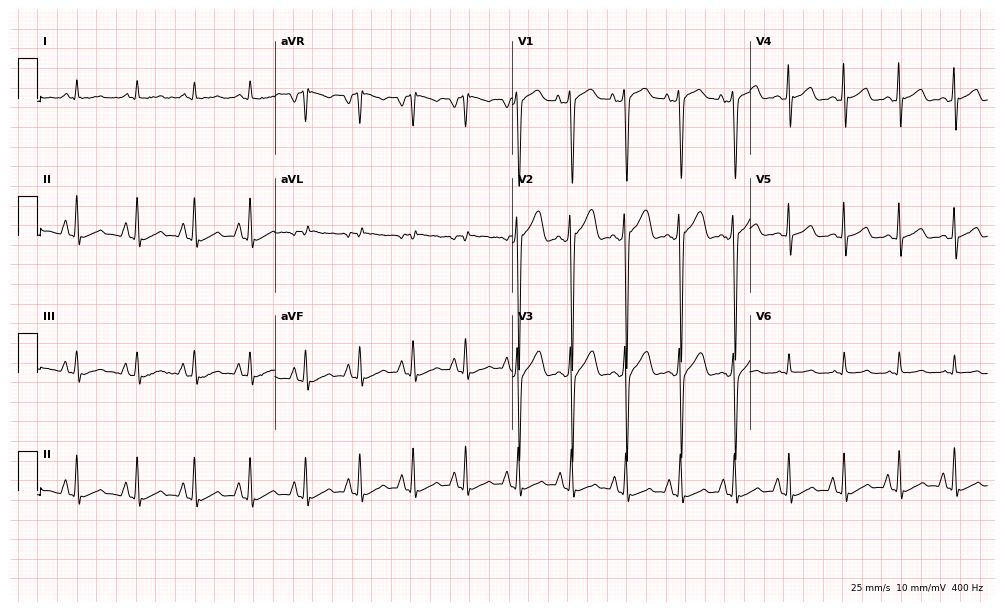
Standard 12-lead ECG recorded from a male patient, 45 years old (9.7-second recording at 400 Hz). None of these six findings is recorded: first-degree AV block, right bundle branch block (RBBB), left bundle branch block (LBBB), sinus bradycardia, atrial fibrillation (AF), sinus tachycardia.